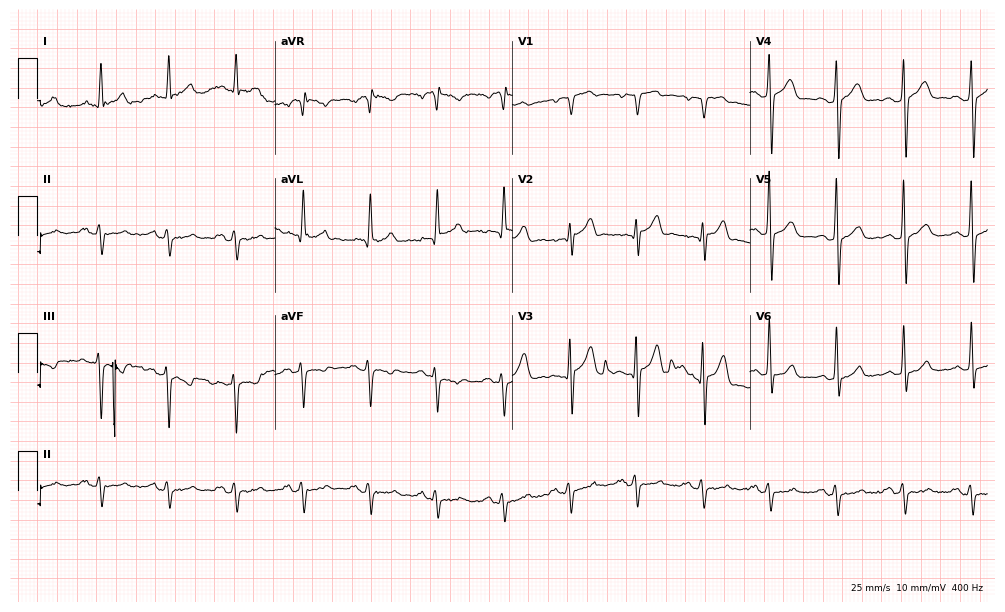
Resting 12-lead electrocardiogram. Patient: a male, 48 years old. None of these six findings is recorded: first-degree AV block, right bundle branch block (RBBB), left bundle branch block (LBBB), sinus bradycardia, atrial fibrillation (AF), sinus tachycardia. Findings outside these six are not listed.